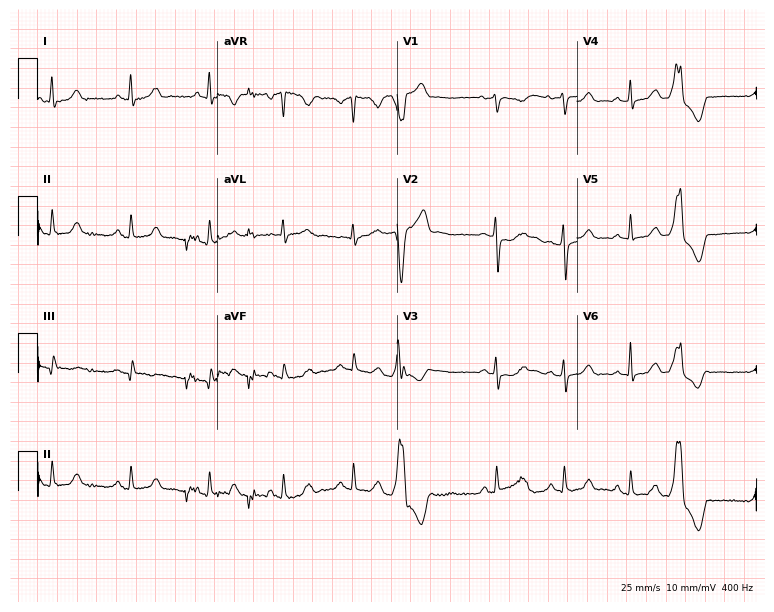
12-lead ECG from a 35-year-old woman. No first-degree AV block, right bundle branch block (RBBB), left bundle branch block (LBBB), sinus bradycardia, atrial fibrillation (AF) or sinus tachycardia recorded for this tracing.